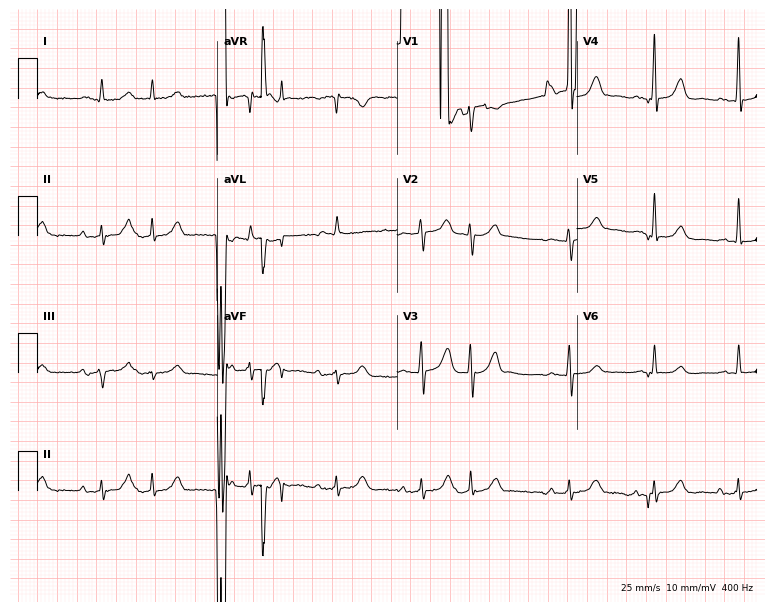
ECG (7.3-second recording at 400 Hz) — an 82-year-old male. Screened for six findings — first-degree AV block, right bundle branch block (RBBB), left bundle branch block (LBBB), sinus bradycardia, atrial fibrillation (AF), sinus tachycardia — none is recorded.